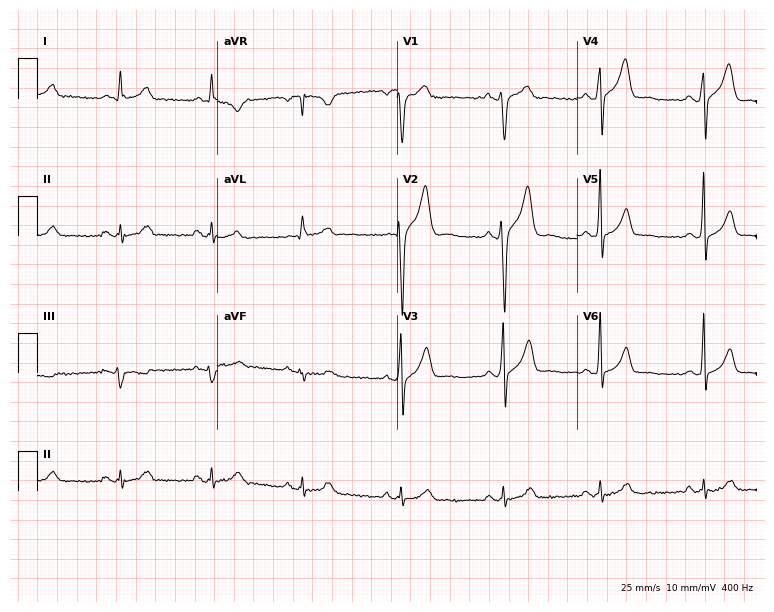
Electrocardiogram, a 39-year-old male patient. Of the six screened findings (first-degree AV block, right bundle branch block, left bundle branch block, sinus bradycardia, atrial fibrillation, sinus tachycardia), none is recorded. Findings outside these six are not listed.